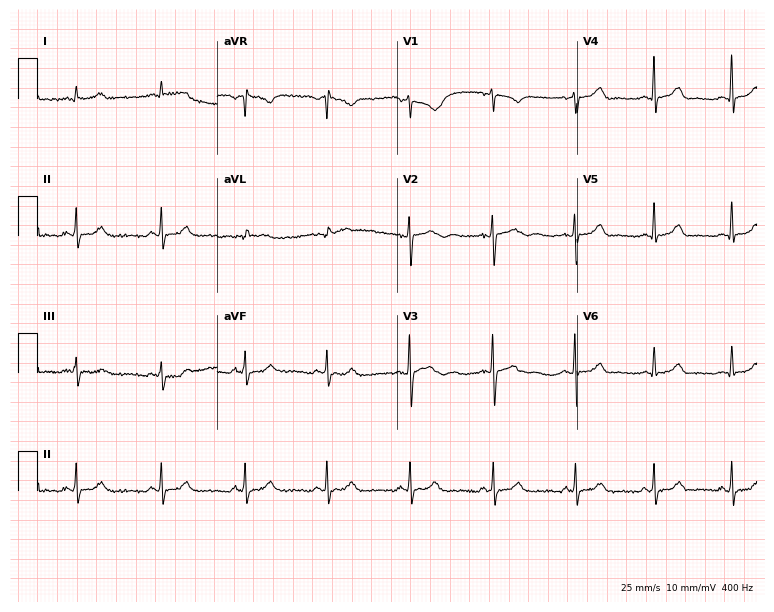
Standard 12-lead ECG recorded from a 35-year-old female. Read as a normal ECG.